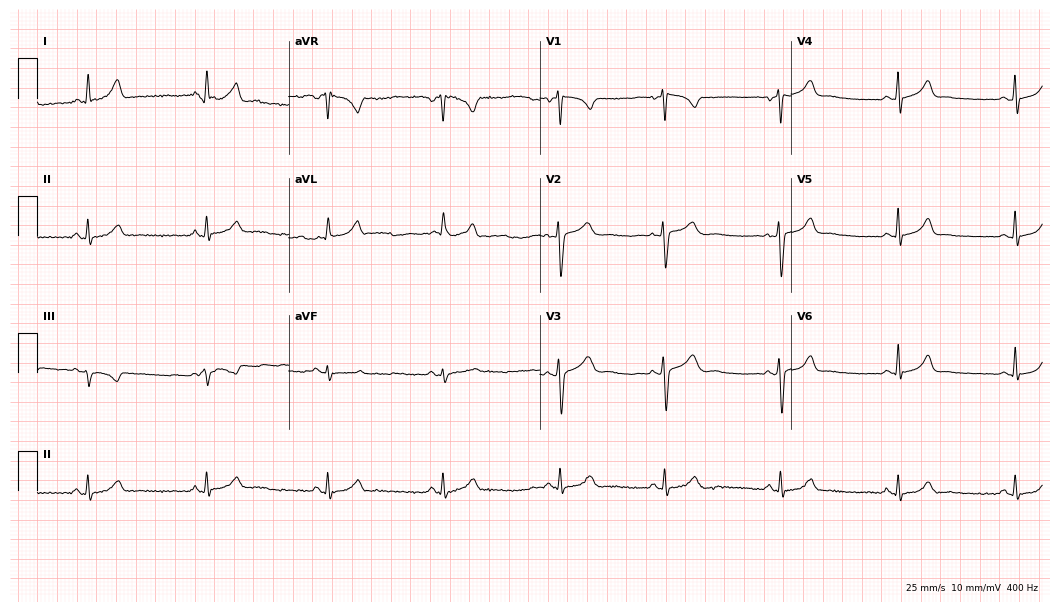
12-lead ECG (10.2-second recording at 400 Hz) from a 28-year-old female. Labelled as a normal ECG.